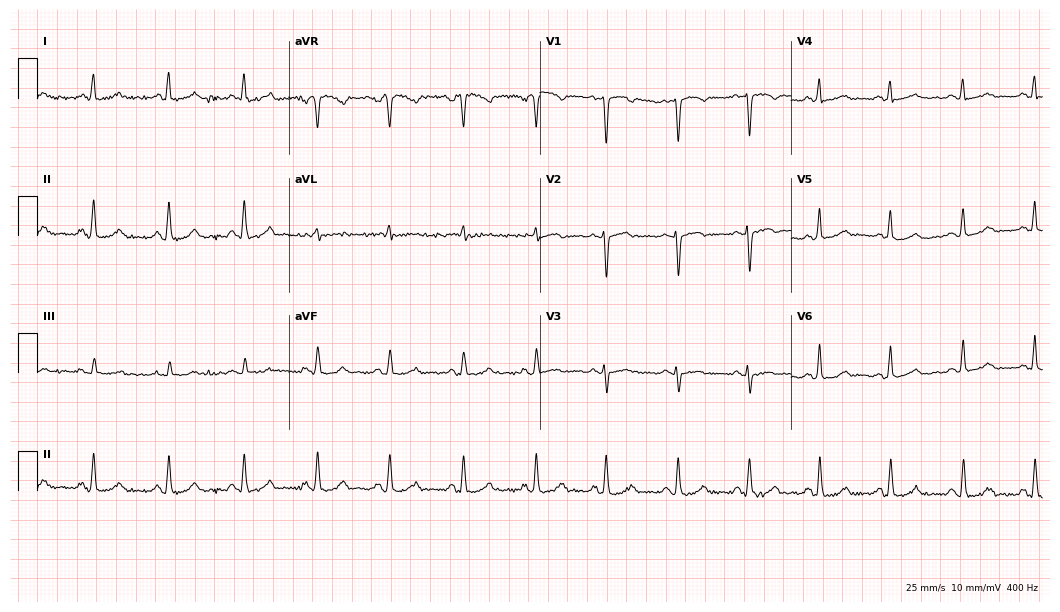
12-lead ECG (10.2-second recording at 400 Hz) from a 32-year-old woman. Labelled as a normal ECG.